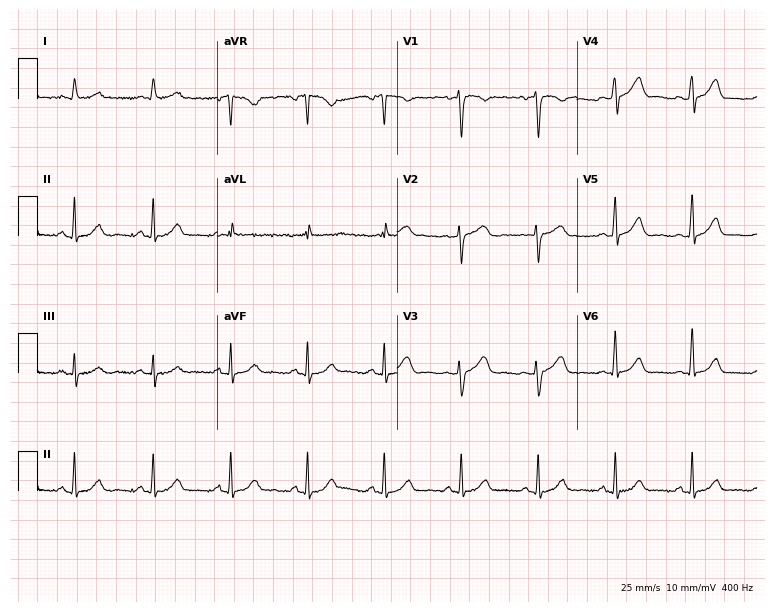
Resting 12-lead electrocardiogram. Patient: a 53-year-old female. Read as a normal ECG.